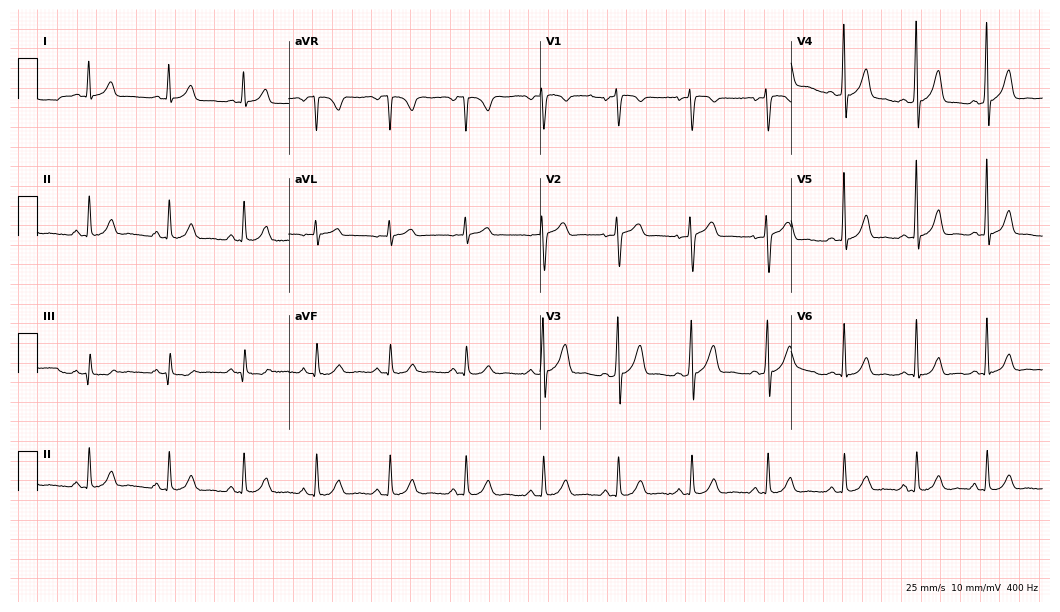
12-lead ECG from a 29-year-old female. Recorded interpretation: within normal limits.